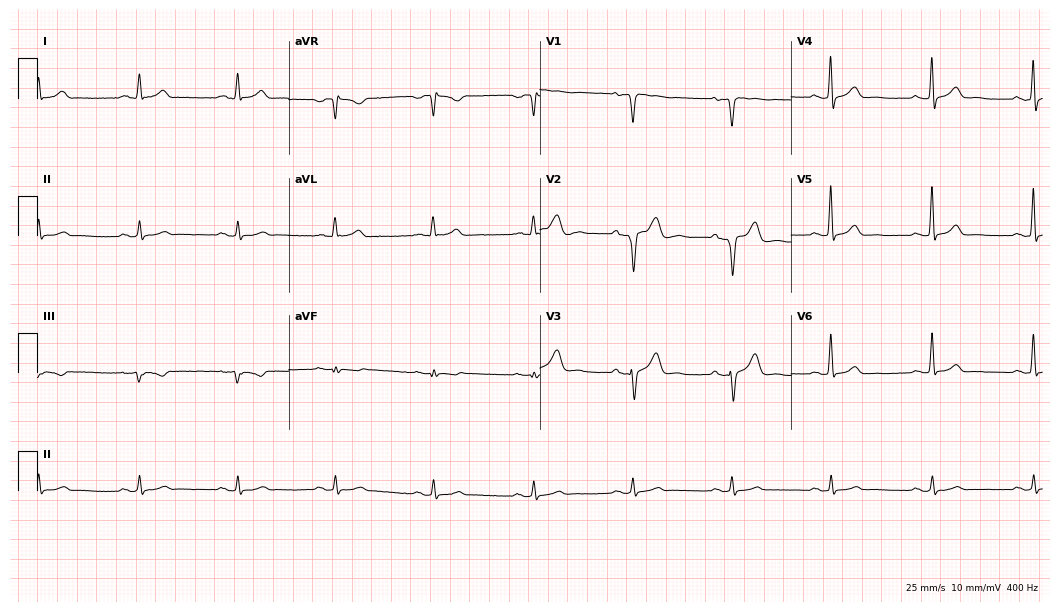
12-lead ECG from a man, 72 years old. No first-degree AV block, right bundle branch block (RBBB), left bundle branch block (LBBB), sinus bradycardia, atrial fibrillation (AF) or sinus tachycardia recorded for this tracing.